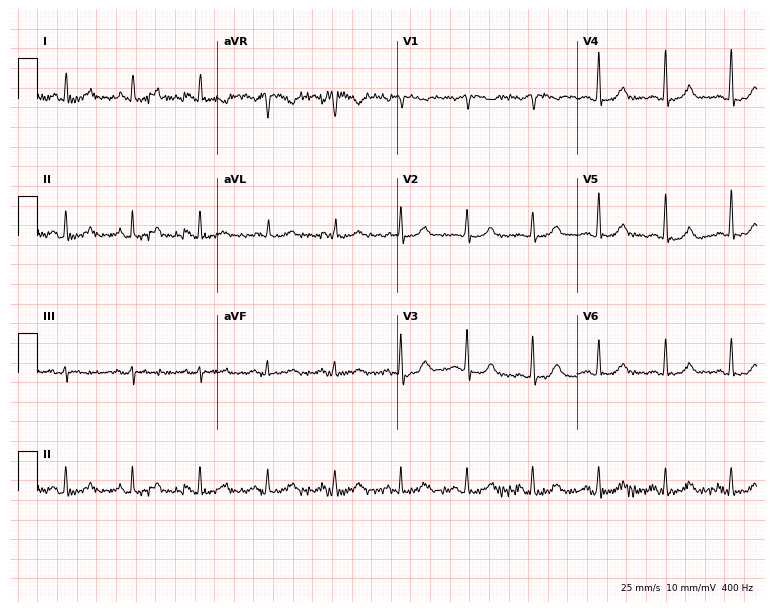
Electrocardiogram, a 58-year-old female patient. Overall reading on record: normal ECG.